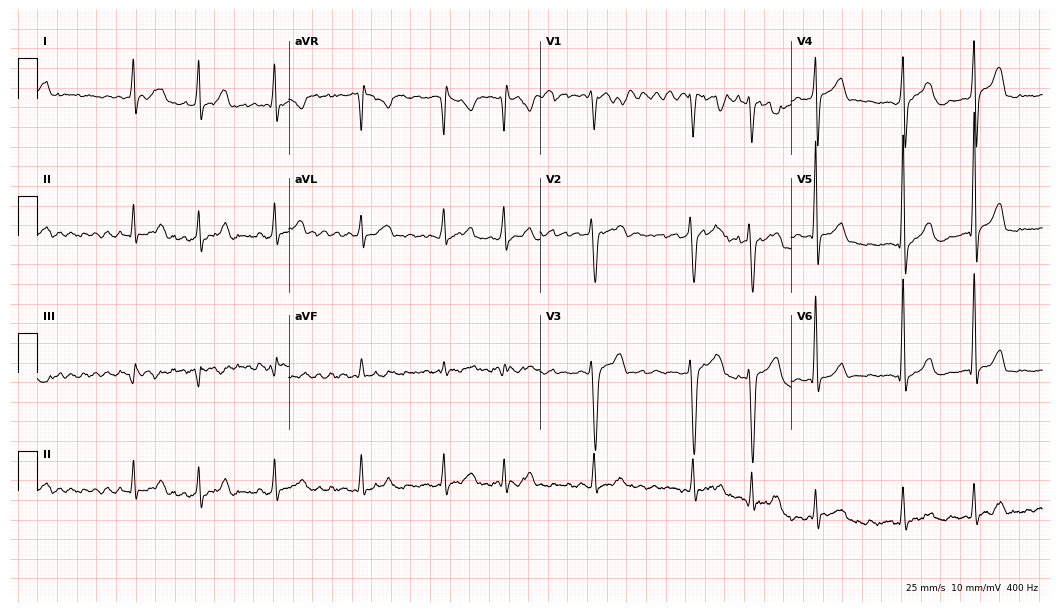
Standard 12-lead ECG recorded from a male patient, 32 years old (10.2-second recording at 400 Hz). None of these six findings is recorded: first-degree AV block, right bundle branch block (RBBB), left bundle branch block (LBBB), sinus bradycardia, atrial fibrillation (AF), sinus tachycardia. Findings outside these six are not listed.